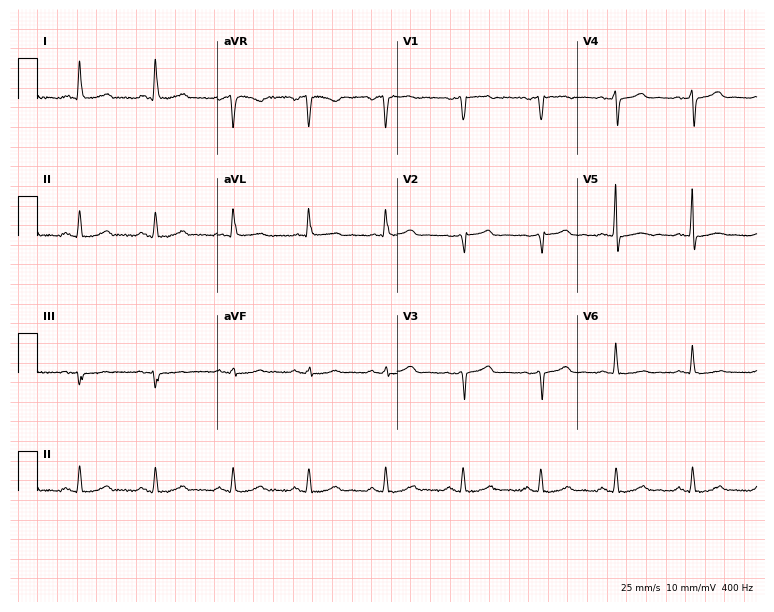
Resting 12-lead electrocardiogram. Patient: a woman, 46 years old. None of these six findings is recorded: first-degree AV block, right bundle branch block, left bundle branch block, sinus bradycardia, atrial fibrillation, sinus tachycardia. Findings outside these six are not listed.